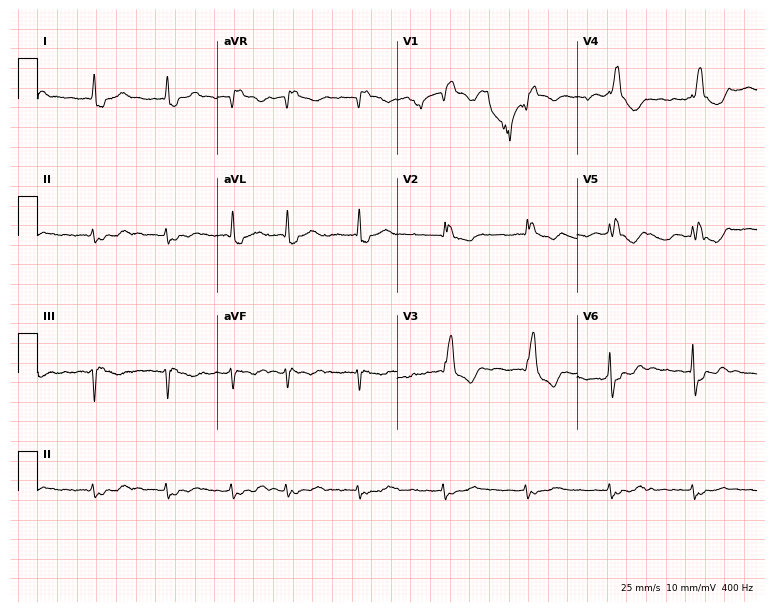
12-lead ECG (7.3-second recording at 400 Hz) from a male, 78 years old. Findings include right bundle branch block, atrial fibrillation.